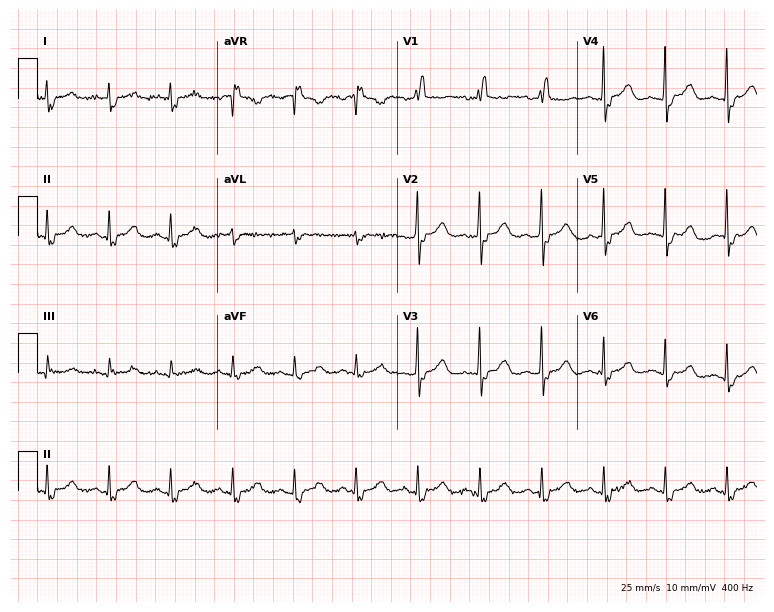
Resting 12-lead electrocardiogram (7.3-second recording at 400 Hz). Patient: a female, 68 years old. The tracing shows right bundle branch block.